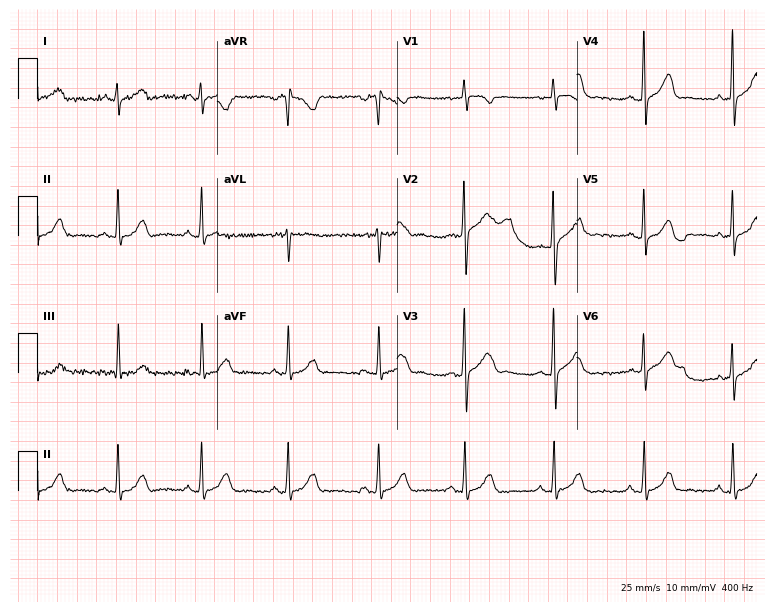
Resting 12-lead electrocardiogram. Patient: a female, 24 years old. Read as a normal ECG.